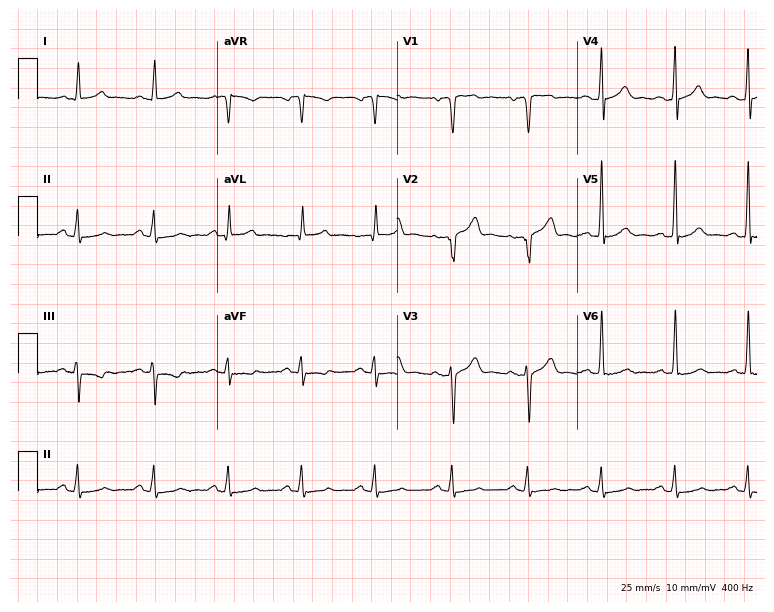
12-lead ECG (7.3-second recording at 400 Hz) from a man, 58 years old. Screened for six findings — first-degree AV block, right bundle branch block, left bundle branch block, sinus bradycardia, atrial fibrillation, sinus tachycardia — none is recorded.